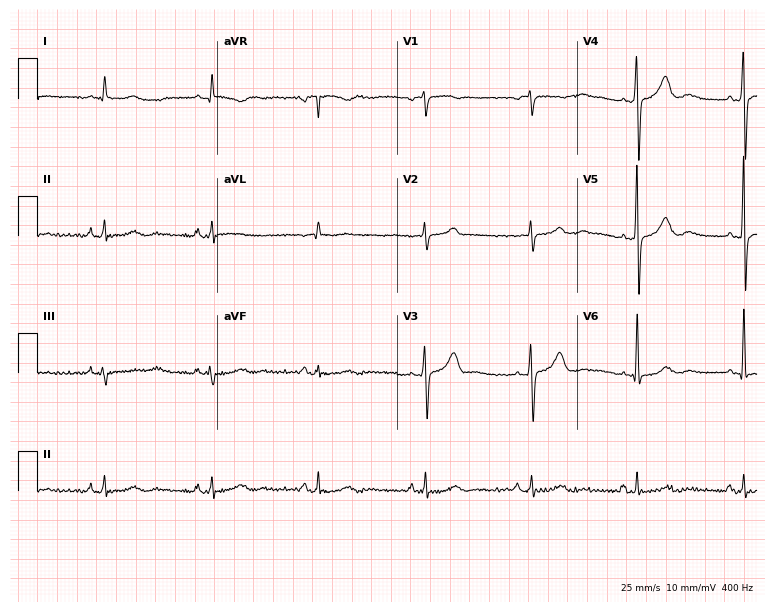
Electrocardiogram, a 75-year-old male patient. Of the six screened findings (first-degree AV block, right bundle branch block, left bundle branch block, sinus bradycardia, atrial fibrillation, sinus tachycardia), none is recorded. Findings outside these six are not listed.